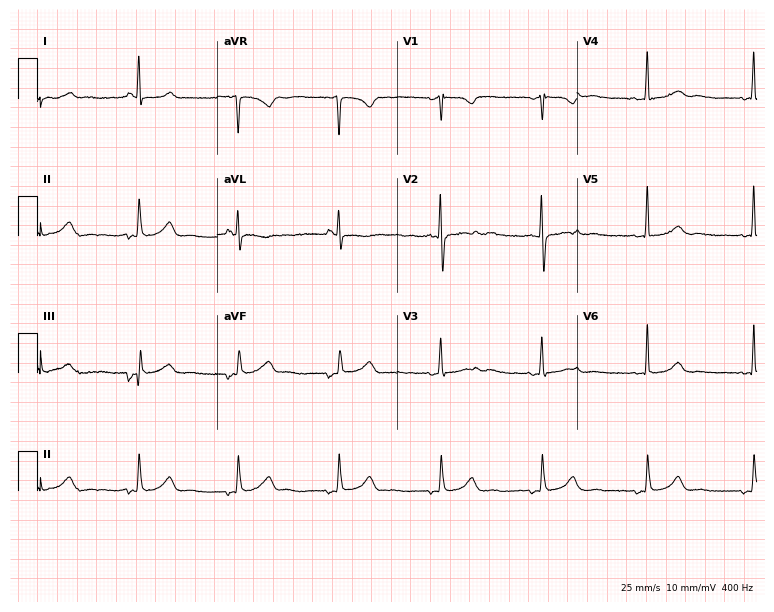
ECG (7.3-second recording at 400 Hz) — a female, 56 years old. Screened for six findings — first-degree AV block, right bundle branch block, left bundle branch block, sinus bradycardia, atrial fibrillation, sinus tachycardia — none is recorded.